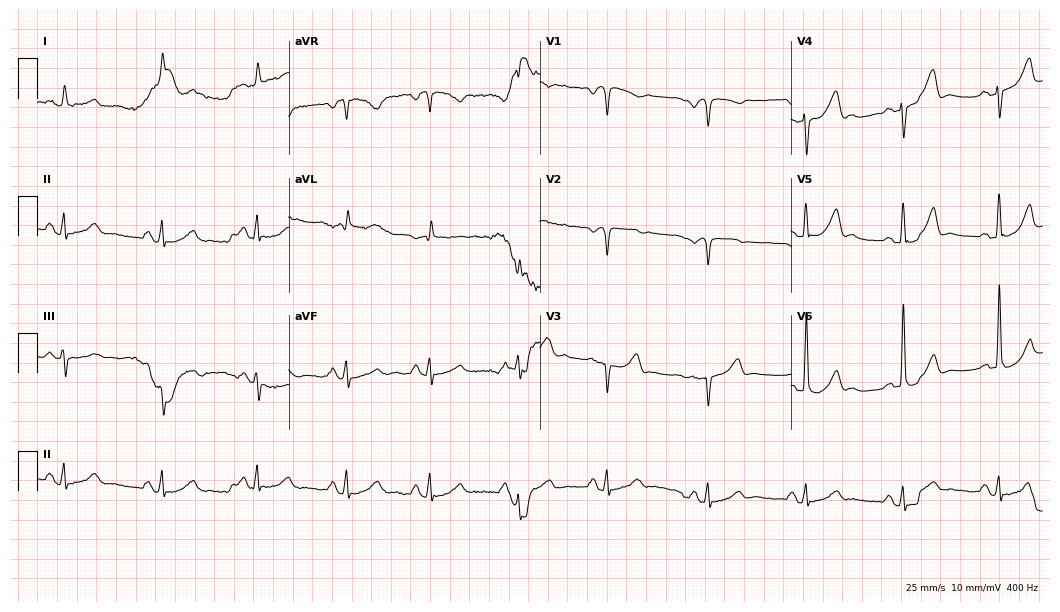
Resting 12-lead electrocardiogram (10.2-second recording at 400 Hz). Patient: a man, 85 years old. None of these six findings is recorded: first-degree AV block, right bundle branch block (RBBB), left bundle branch block (LBBB), sinus bradycardia, atrial fibrillation (AF), sinus tachycardia. Other findings, if any, are not listed.